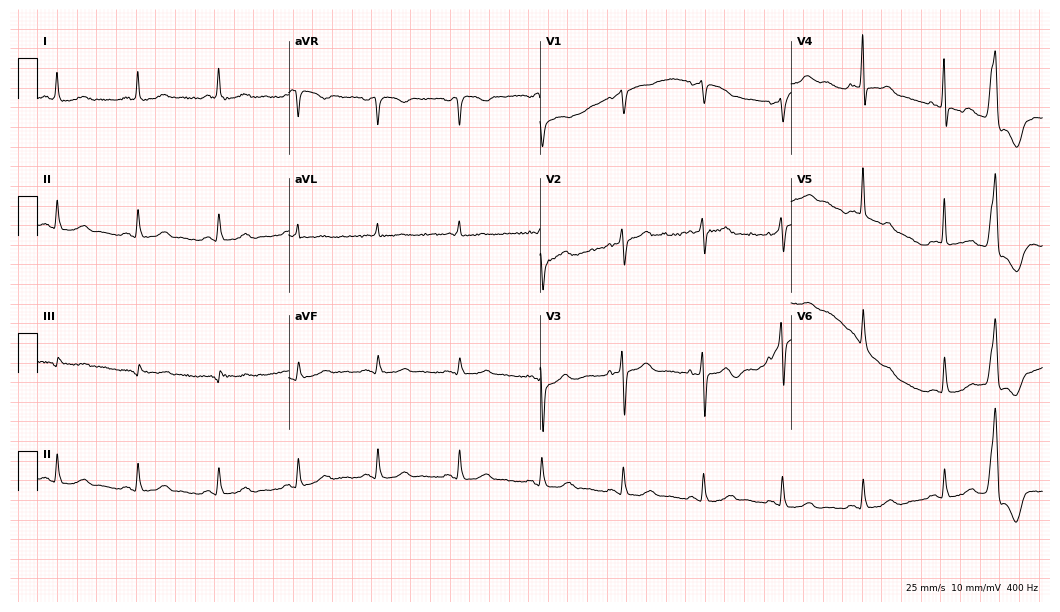
Standard 12-lead ECG recorded from a female patient, 61 years old. None of these six findings is recorded: first-degree AV block, right bundle branch block, left bundle branch block, sinus bradycardia, atrial fibrillation, sinus tachycardia. Other findings, if any, are not listed.